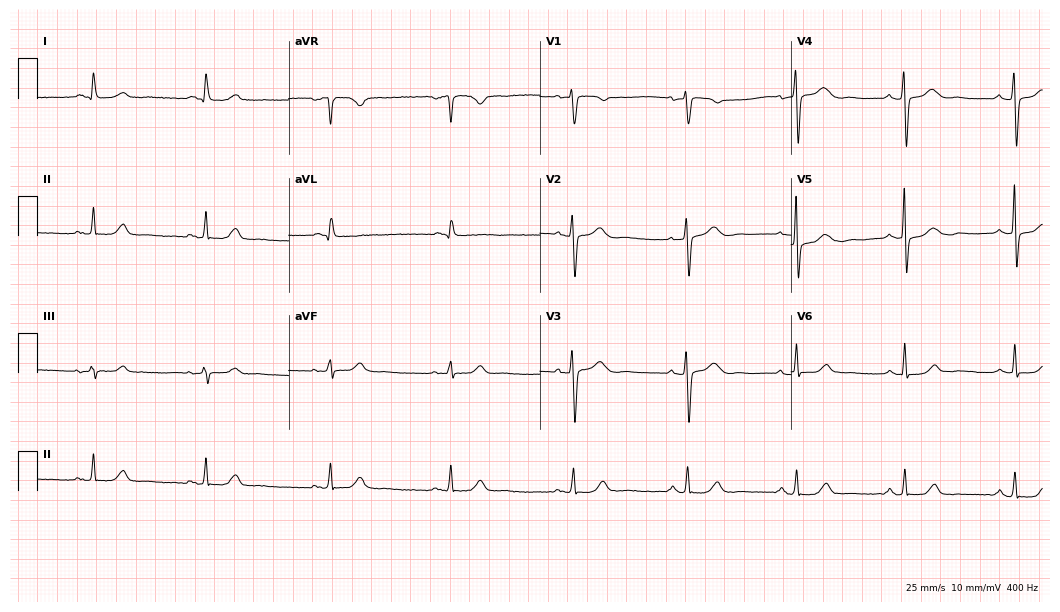
12-lead ECG (10.2-second recording at 400 Hz) from a 73-year-old female patient. Labelled as a normal ECG.